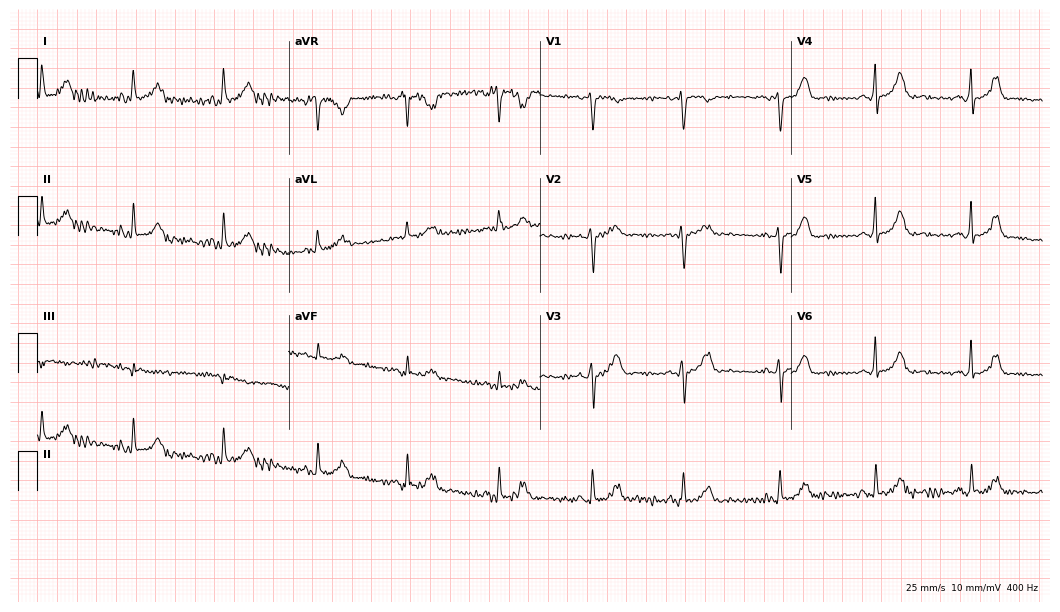
ECG (10.2-second recording at 400 Hz) — a female patient, 53 years old. Labelled as a normal ECG.